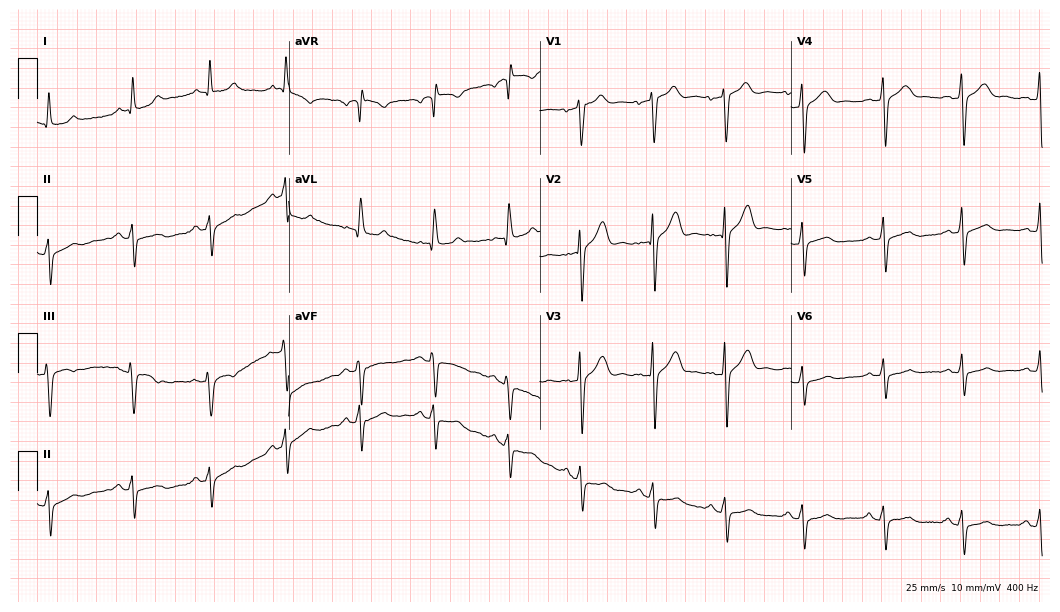
12-lead ECG from a man, 38 years old (10.2-second recording at 400 Hz). No first-degree AV block, right bundle branch block (RBBB), left bundle branch block (LBBB), sinus bradycardia, atrial fibrillation (AF) or sinus tachycardia recorded for this tracing. Findings outside these six are not listed.